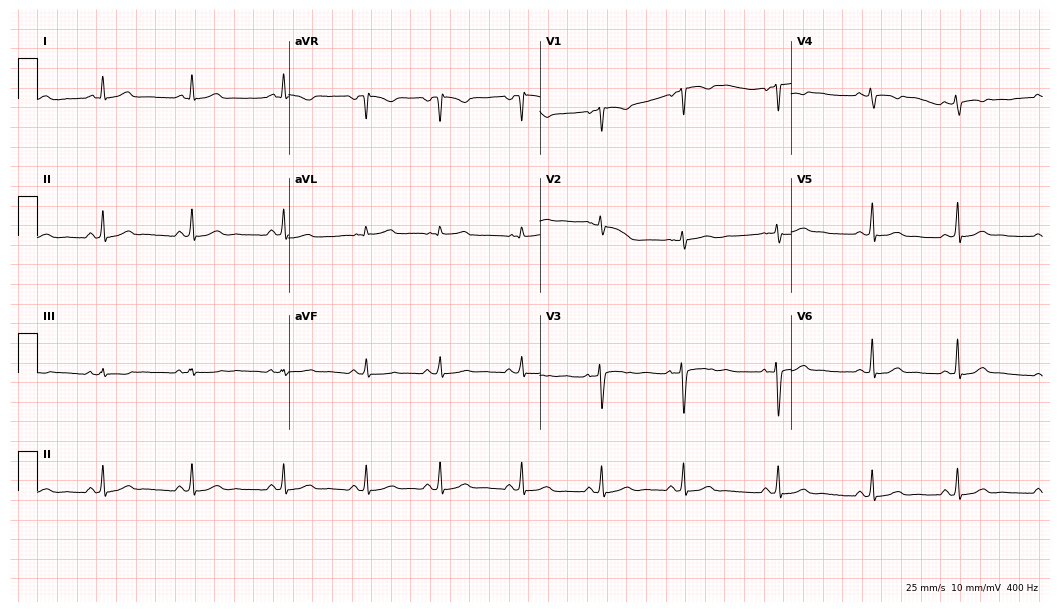
12-lead ECG from a female, 22 years old (10.2-second recording at 400 Hz). Recorded interpretation: within normal limits.